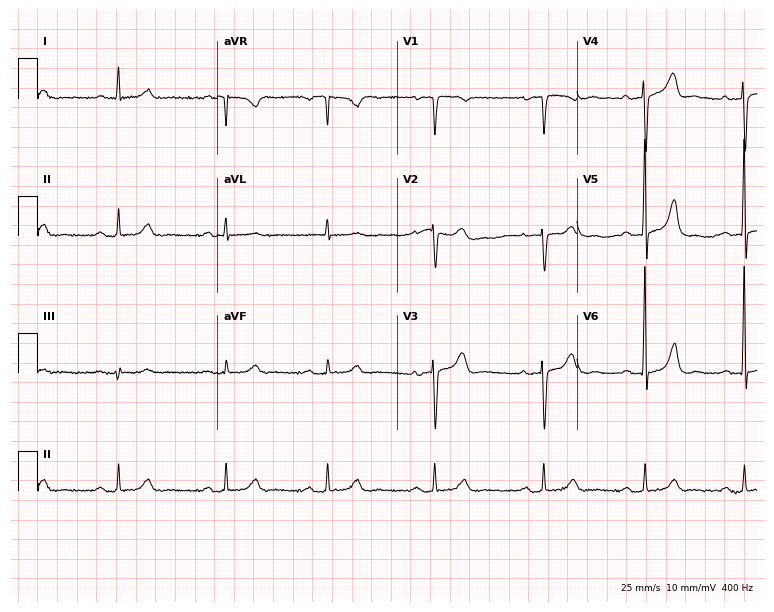
ECG (7.3-second recording at 400 Hz) — an 84-year-old male. Labelled as a normal ECG.